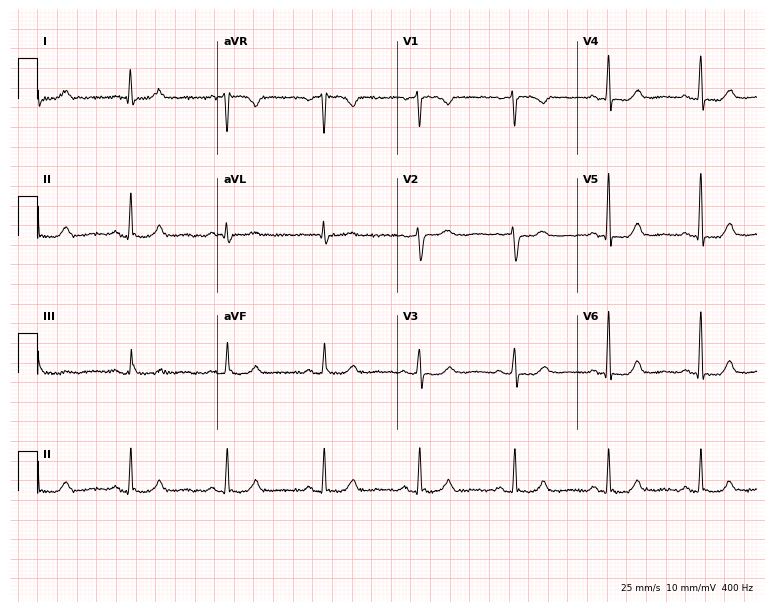
12-lead ECG (7.3-second recording at 400 Hz) from a female patient, 50 years old. Screened for six findings — first-degree AV block, right bundle branch block, left bundle branch block, sinus bradycardia, atrial fibrillation, sinus tachycardia — none is recorded. Other findings, if any, are not listed.